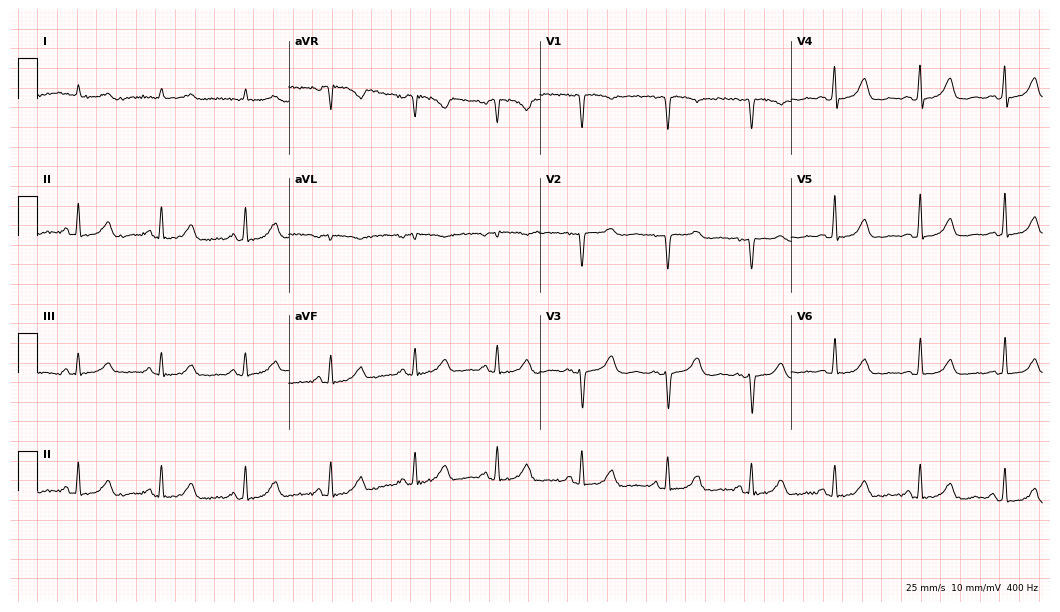
12-lead ECG from a female patient, 78 years old. Labelled as a normal ECG.